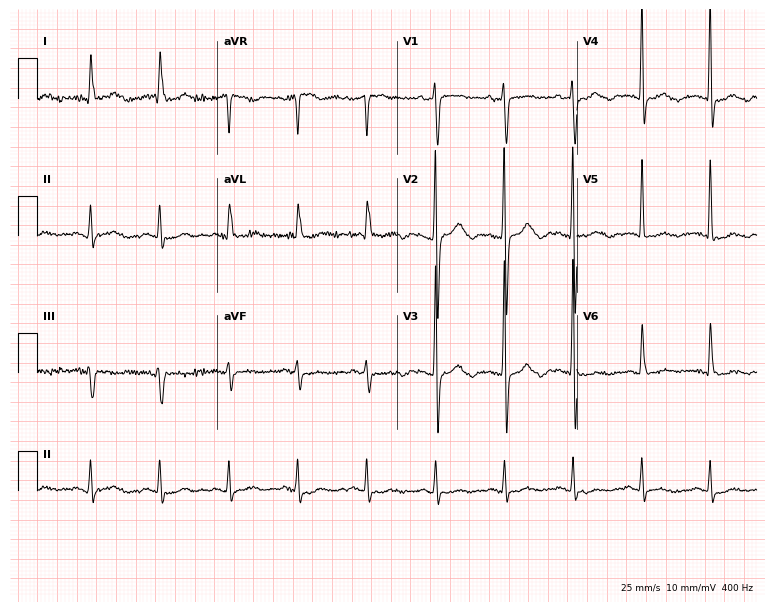
Resting 12-lead electrocardiogram (7.3-second recording at 400 Hz). Patient: a woman, 83 years old. None of these six findings is recorded: first-degree AV block, right bundle branch block, left bundle branch block, sinus bradycardia, atrial fibrillation, sinus tachycardia. Findings outside these six are not listed.